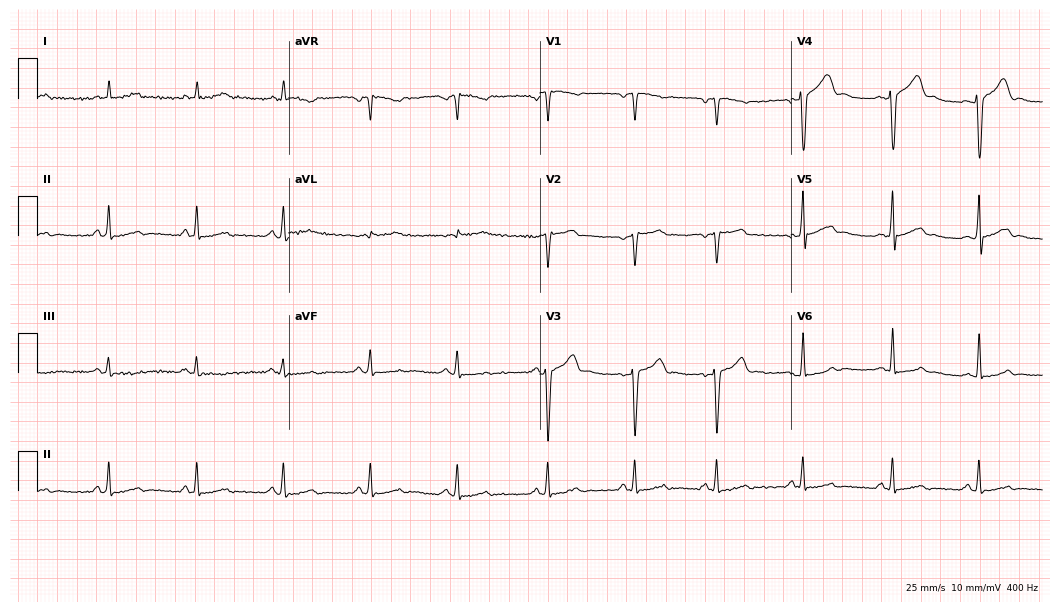
12-lead ECG from a woman, 54 years old. Screened for six findings — first-degree AV block, right bundle branch block, left bundle branch block, sinus bradycardia, atrial fibrillation, sinus tachycardia — none is recorded. Findings outside these six are not listed.